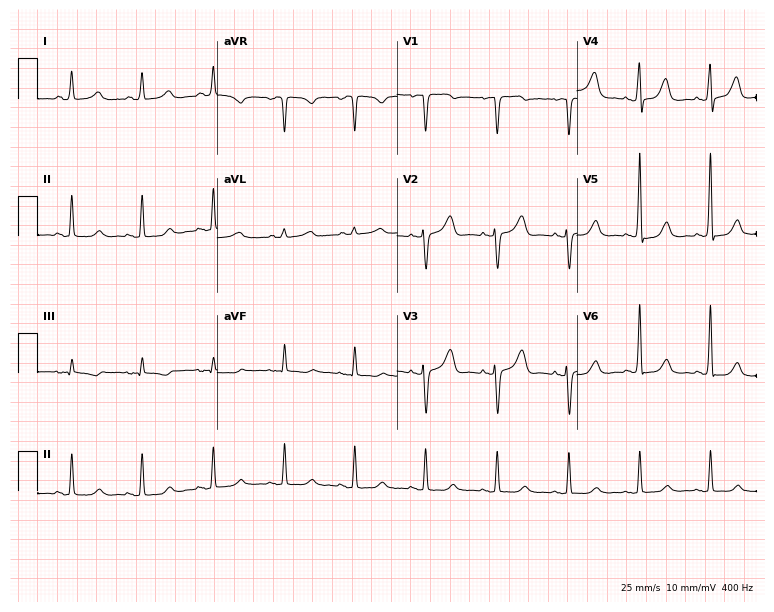
12-lead ECG from a 65-year-old woman (7.3-second recording at 400 Hz). No first-degree AV block, right bundle branch block (RBBB), left bundle branch block (LBBB), sinus bradycardia, atrial fibrillation (AF) or sinus tachycardia recorded for this tracing. Findings outside these six are not listed.